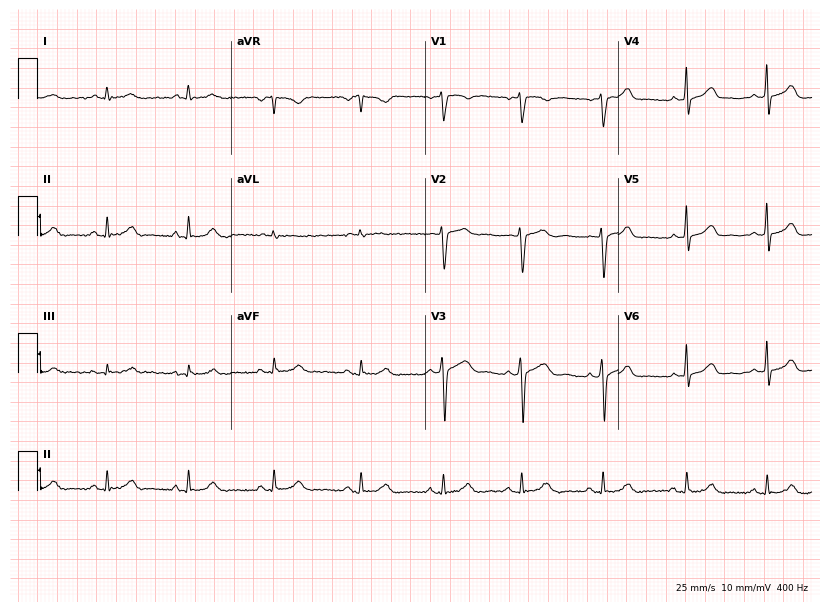
12-lead ECG (7.9-second recording at 400 Hz) from a 38-year-old female. Labelled as a normal ECG.